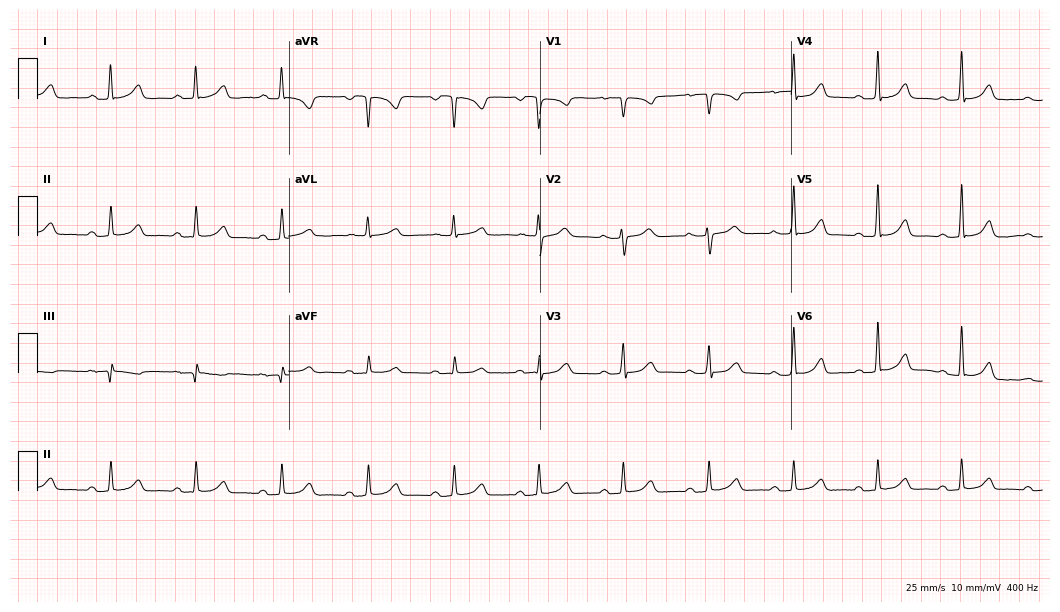
Standard 12-lead ECG recorded from a 61-year-old female patient. Read as a normal ECG.